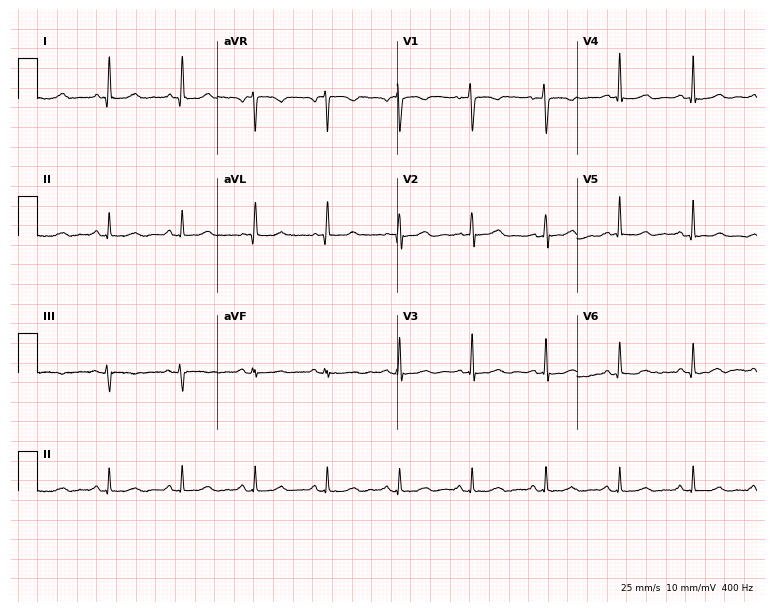
12-lead ECG from a woman, 49 years old (7.3-second recording at 400 Hz). Recorded interpretation: within normal limits.